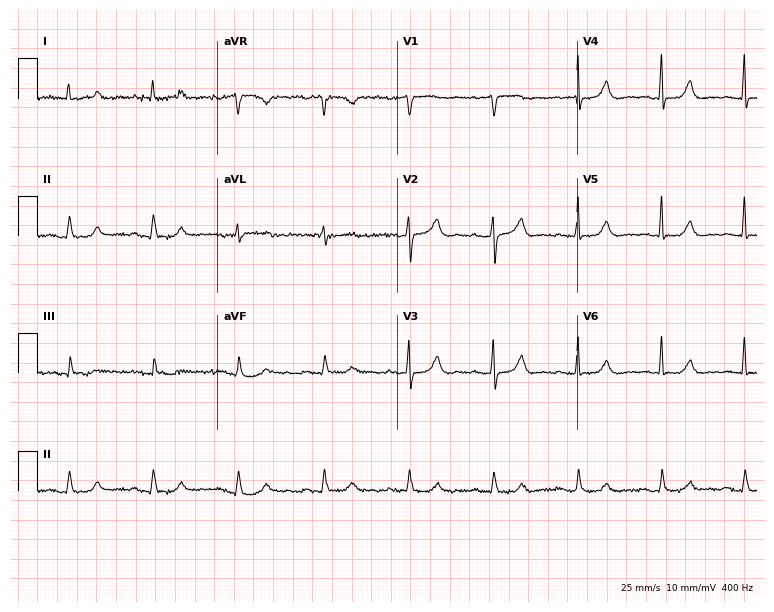
Standard 12-lead ECG recorded from a female patient, 70 years old. None of these six findings is recorded: first-degree AV block, right bundle branch block (RBBB), left bundle branch block (LBBB), sinus bradycardia, atrial fibrillation (AF), sinus tachycardia. Findings outside these six are not listed.